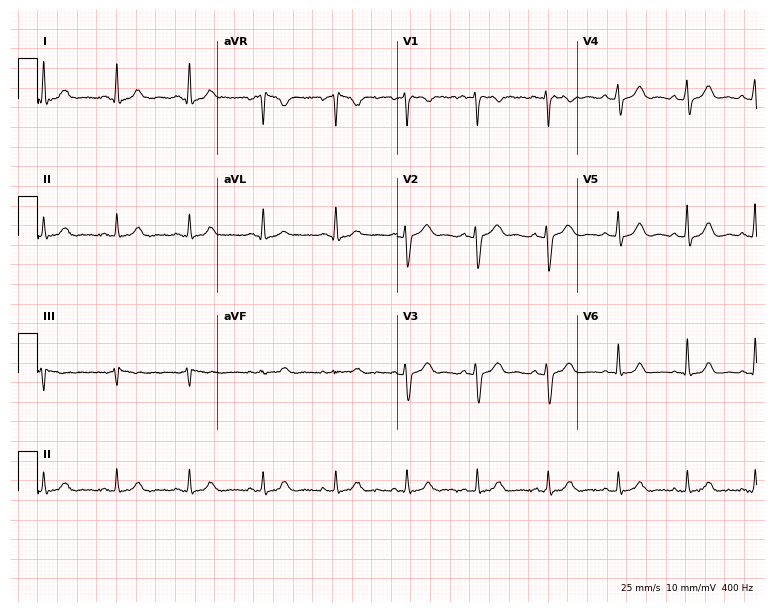
12-lead ECG from a male, 39 years old. Recorded interpretation: within normal limits.